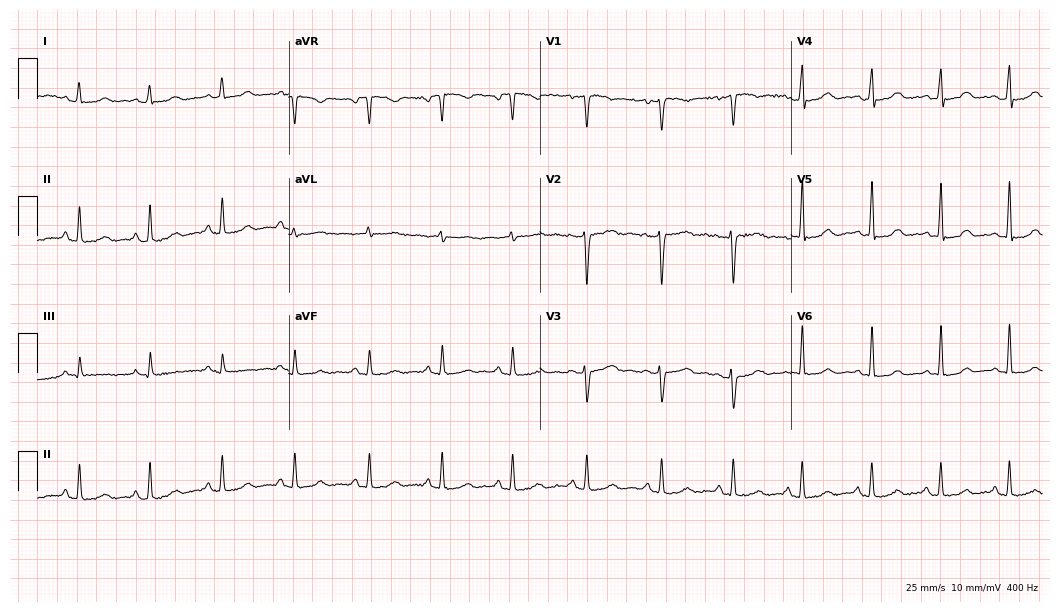
ECG — a female, 37 years old. Labelled as a normal ECG.